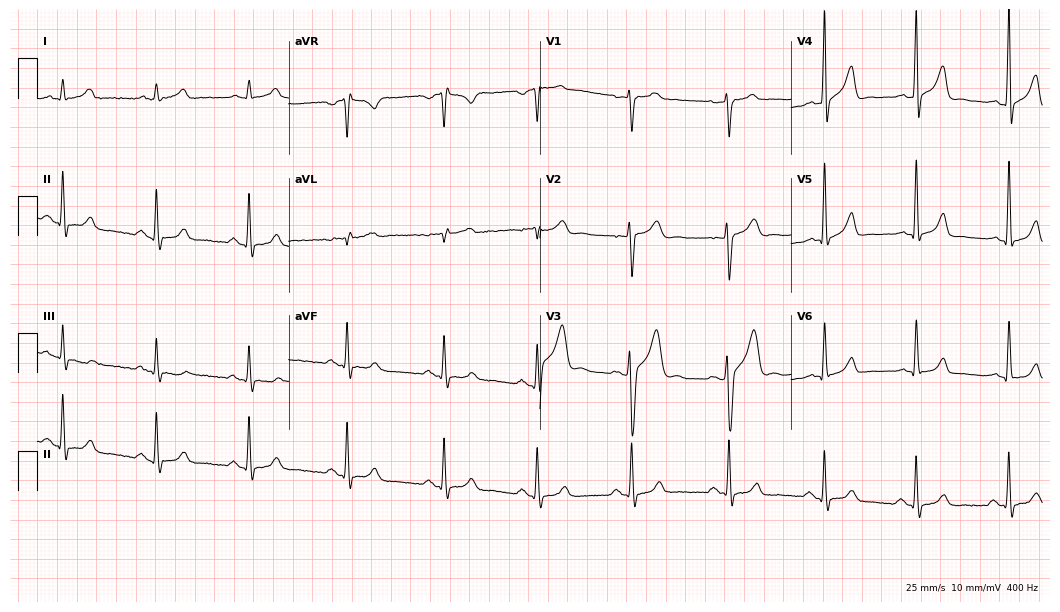
Electrocardiogram, a 29-year-old male. Overall reading on record: normal ECG.